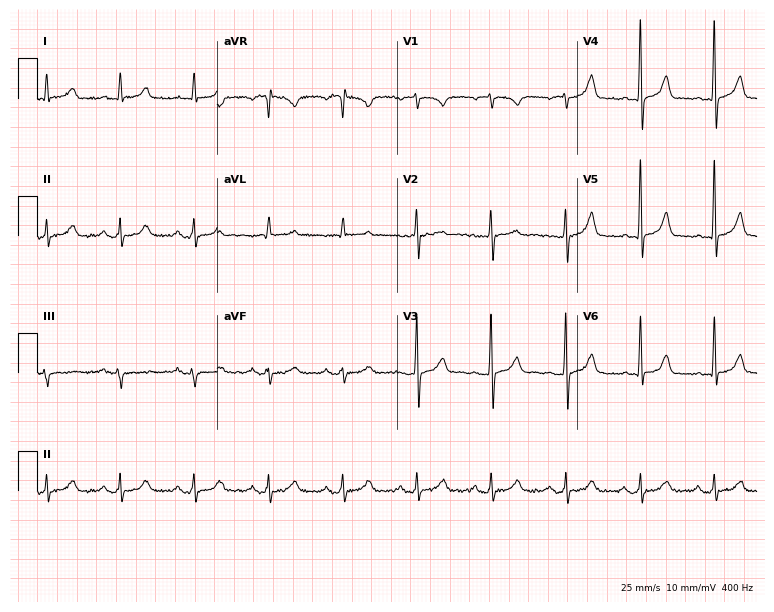
Electrocardiogram, a 57-year-old male patient. Overall reading on record: normal ECG.